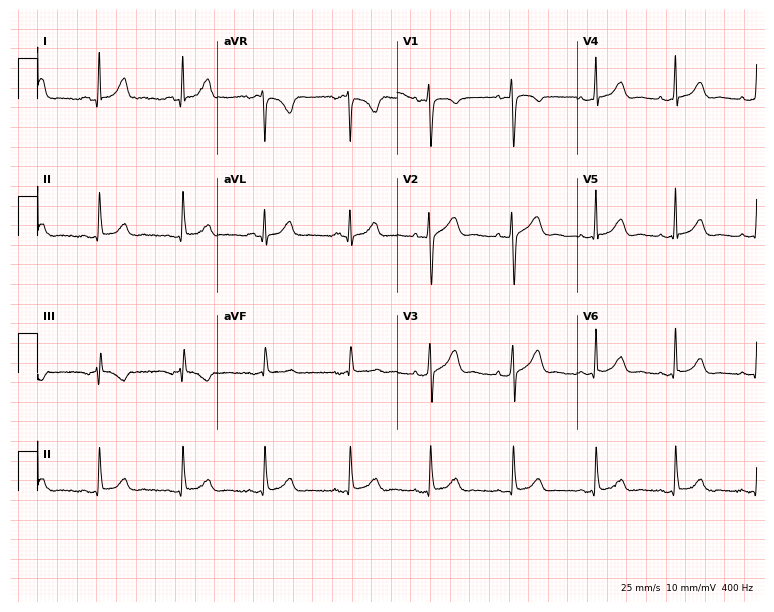
12-lead ECG (7.3-second recording at 400 Hz) from a 36-year-old female patient. Screened for six findings — first-degree AV block, right bundle branch block (RBBB), left bundle branch block (LBBB), sinus bradycardia, atrial fibrillation (AF), sinus tachycardia — none is recorded. Other findings, if any, are not listed.